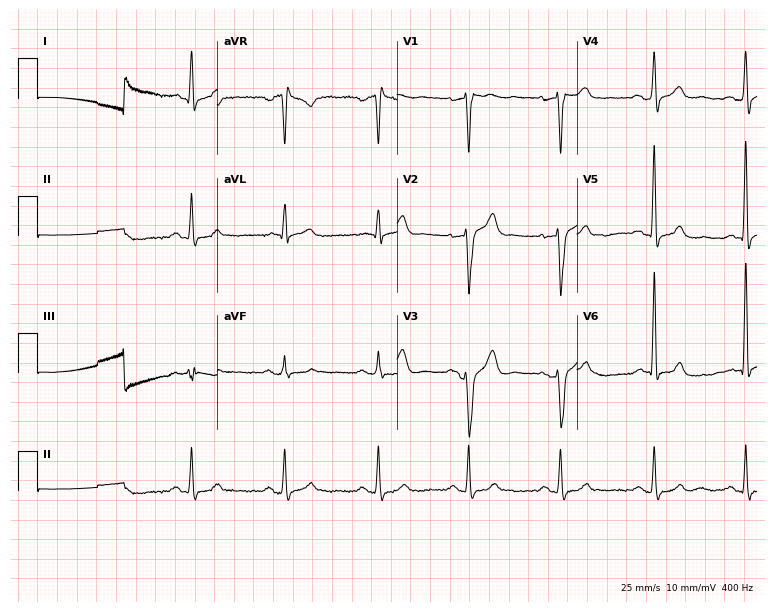
Resting 12-lead electrocardiogram. Patient: a 56-year-old man. None of these six findings is recorded: first-degree AV block, right bundle branch block, left bundle branch block, sinus bradycardia, atrial fibrillation, sinus tachycardia. Findings outside these six are not listed.